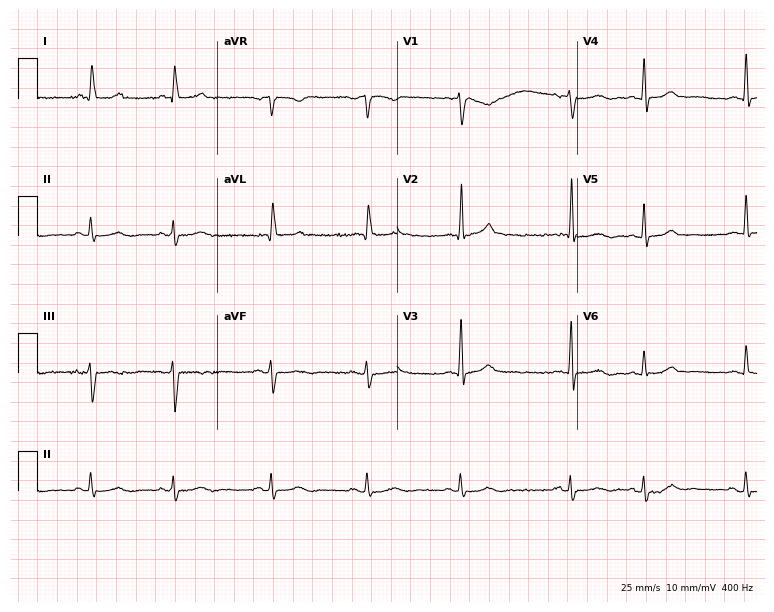
Standard 12-lead ECG recorded from a male, 79 years old (7.3-second recording at 400 Hz). Read as a normal ECG.